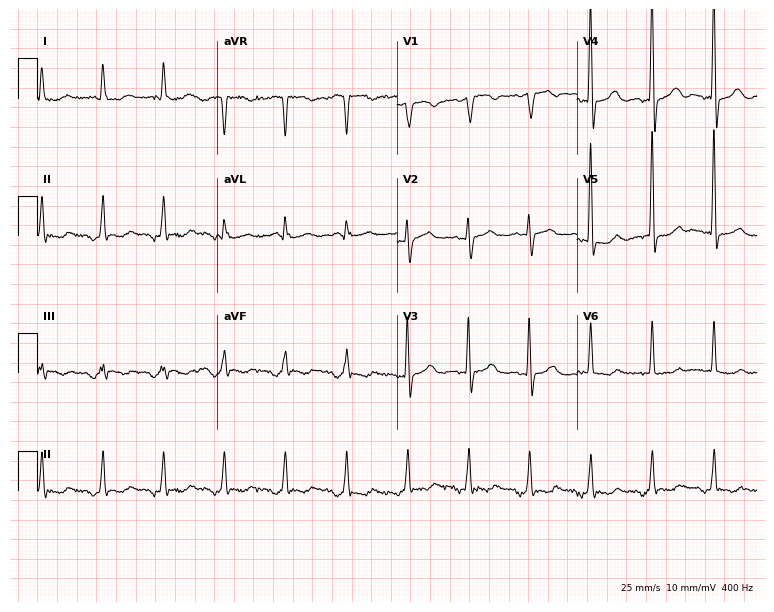
ECG — a female patient, 83 years old. Screened for six findings — first-degree AV block, right bundle branch block (RBBB), left bundle branch block (LBBB), sinus bradycardia, atrial fibrillation (AF), sinus tachycardia — none is recorded.